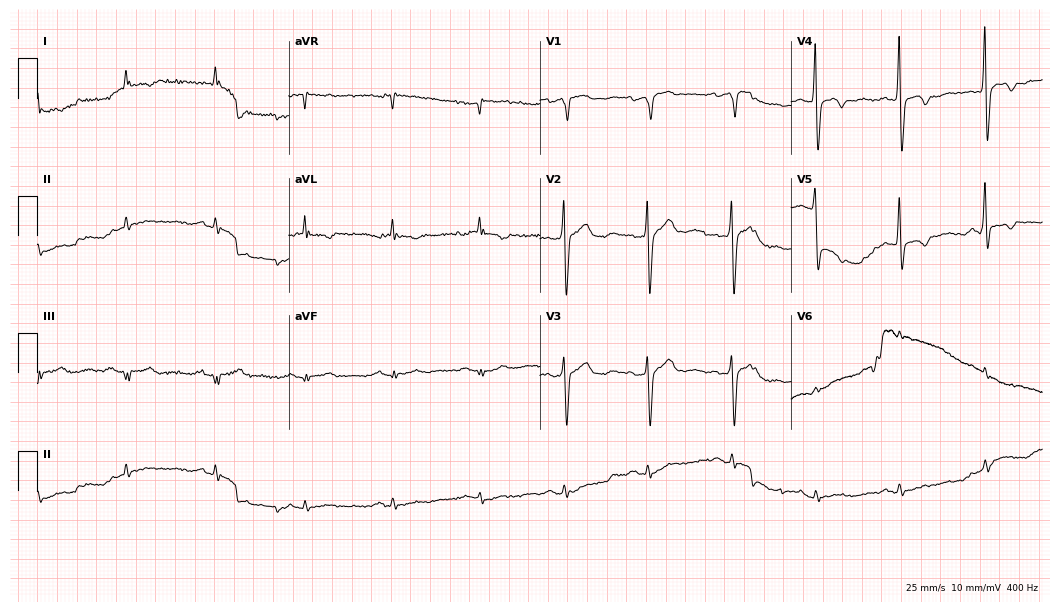
Resting 12-lead electrocardiogram (10.2-second recording at 400 Hz). Patient: a man, 69 years old. None of these six findings is recorded: first-degree AV block, right bundle branch block, left bundle branch block, sinus bradycardia, atrial fibrillation, sinus tachycardia. Only these six findings were labelled.